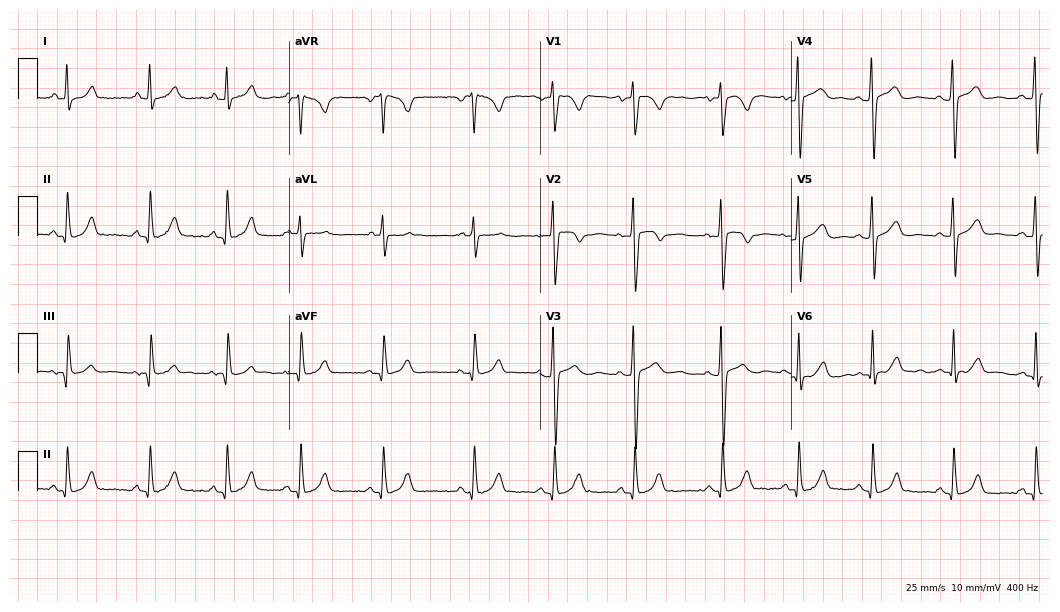
Resting 12-lead electrocardiogram. Patient: a woman, 17 years old. None of these six findings is recorded: first-degree AV block, right bundle branch block, left bundle branch block, sinus bradycardia, atrial fibrillation, sinus tachycardia.